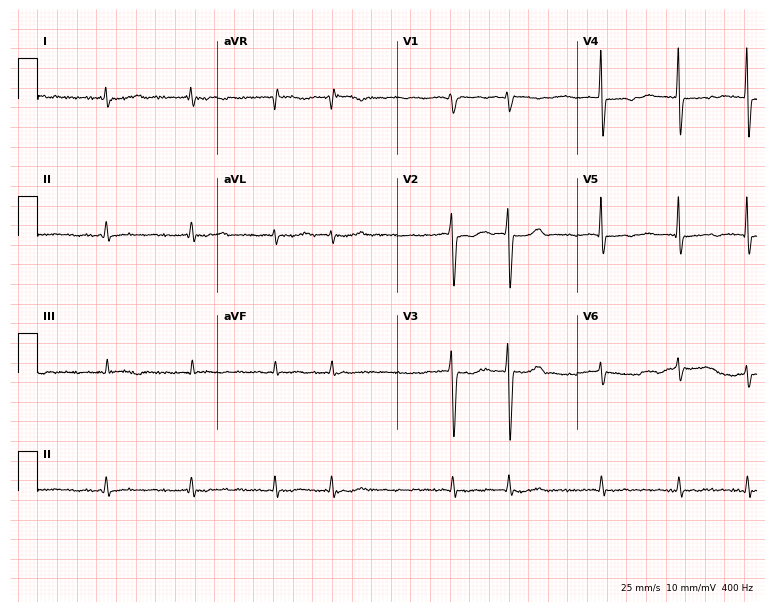
Electrocardiogram, a female patient, 74 years old. Interpretation includes atrial fibrillation.